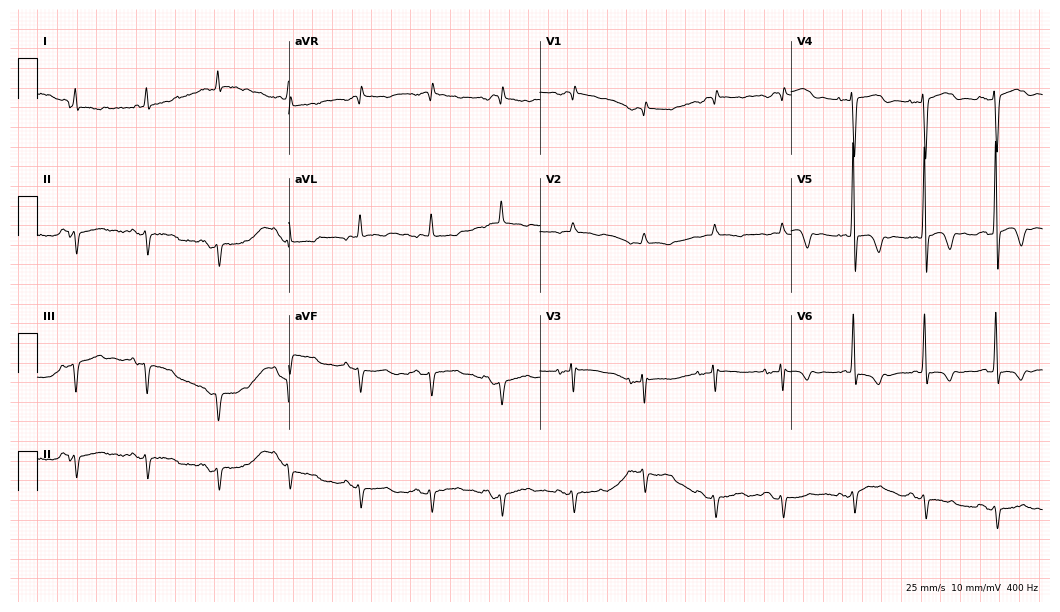
12-lead ECG from a female, 80 years old (10.2-second recording at 400 Hz). No first-degree AV block, right bundle branch block, left bundle branch block, sinus bradycardia, atrial fibrillation or sinus tachycardia recorded for this tracing. Findings outside these six are not listed.